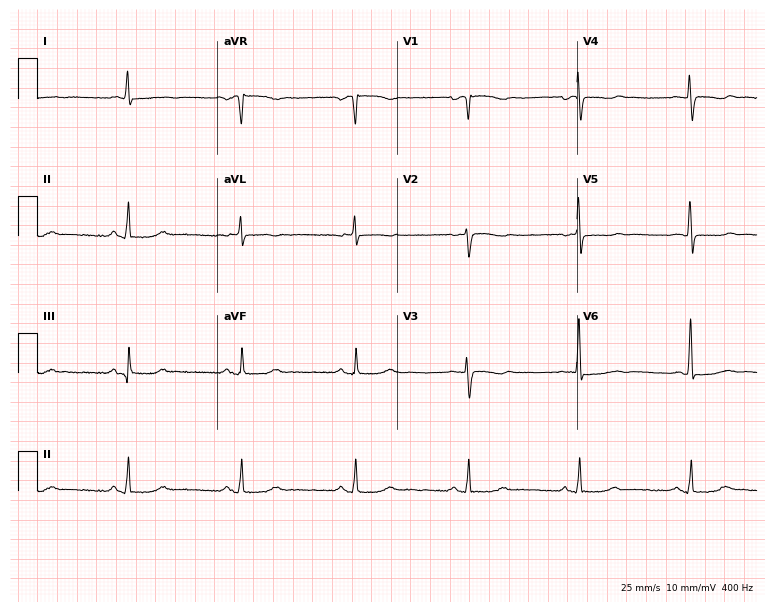
Electrocardiogram, a 73-year-old female patient. Overall reading on record: normal ECG.